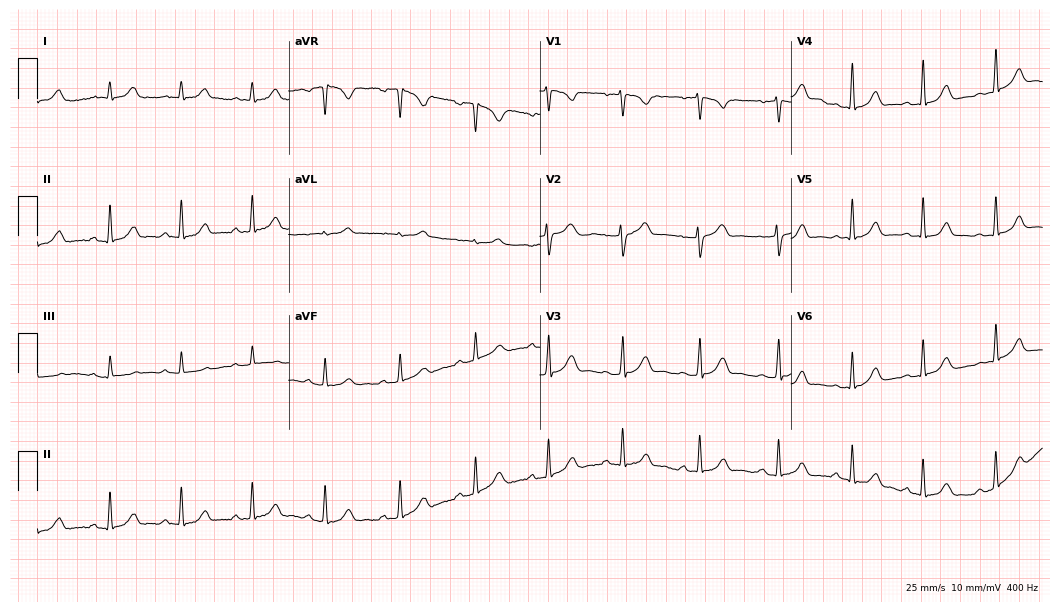
Electrocardiogram, a 25-year-old woman. Overall reading on record: normal ECG.